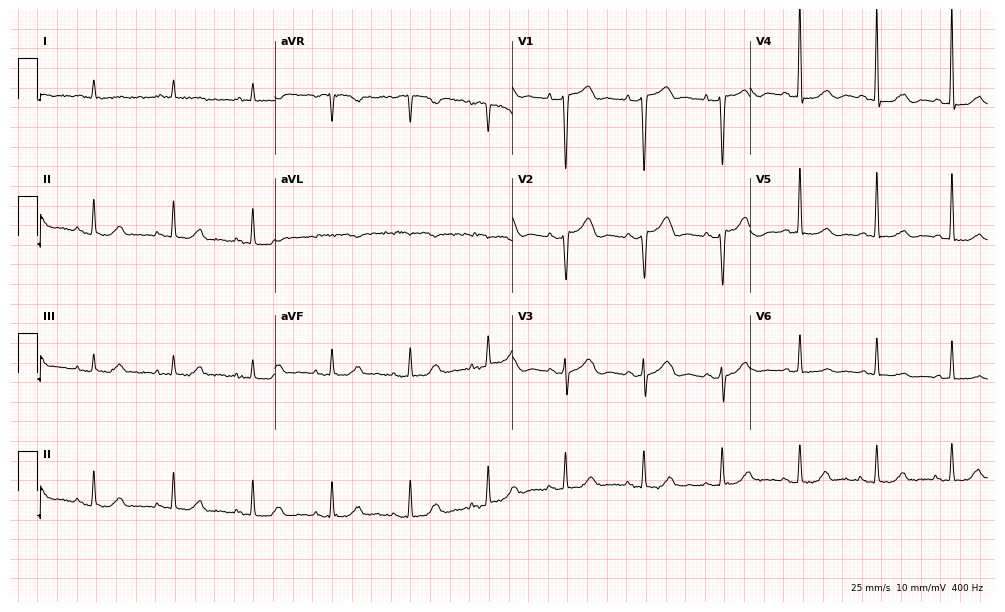
Standard 12-lead ECG recorded from a female patient, 81 years old (9.7-second recording at 400 Hz). Read as a normal ECG.